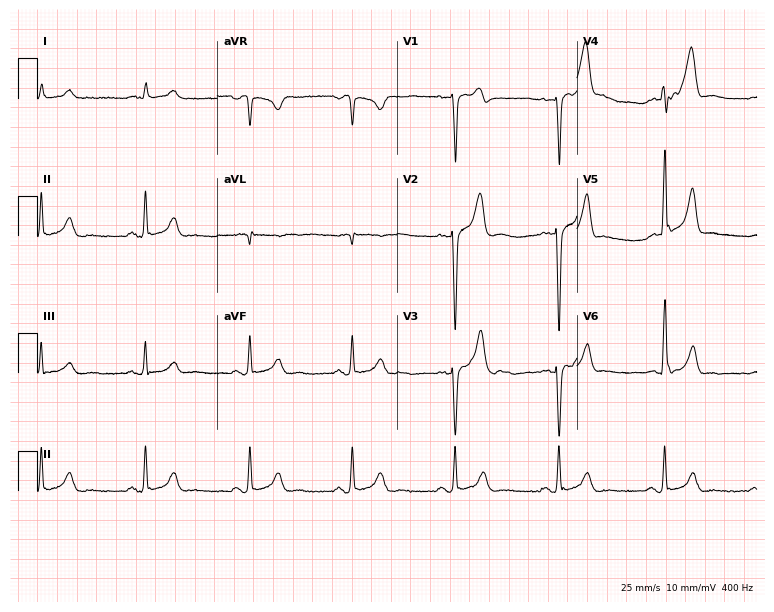
12-lead ECG from a male patient, 45 years old. Screened for six findings — first-degree AV block, right bundle branch block, left bundle branch block, sinus bradycardia, atrial fibrillation, sinus tachycardia — none is recorded. Only these six findings were labelled.